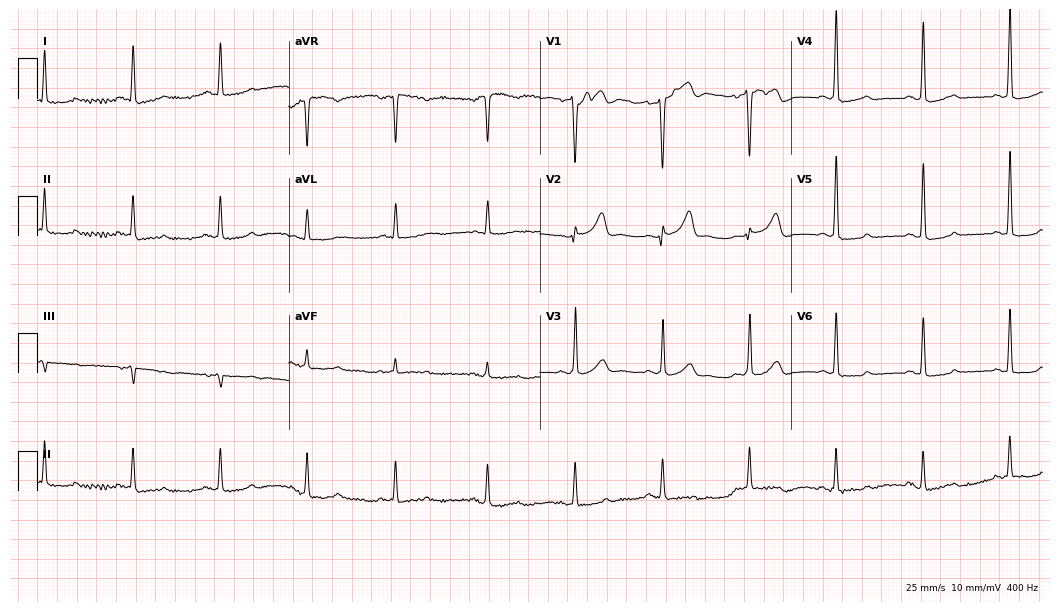
Electrocardiogram, a woman, 75 years old. Of the six screened findings (first-degree AV block, right bundle branch block, left bundle branch block, sinus bradycardia, atrial fibrillation, sinus tachycardia), none is recorded. Findings outside these six are not listed.